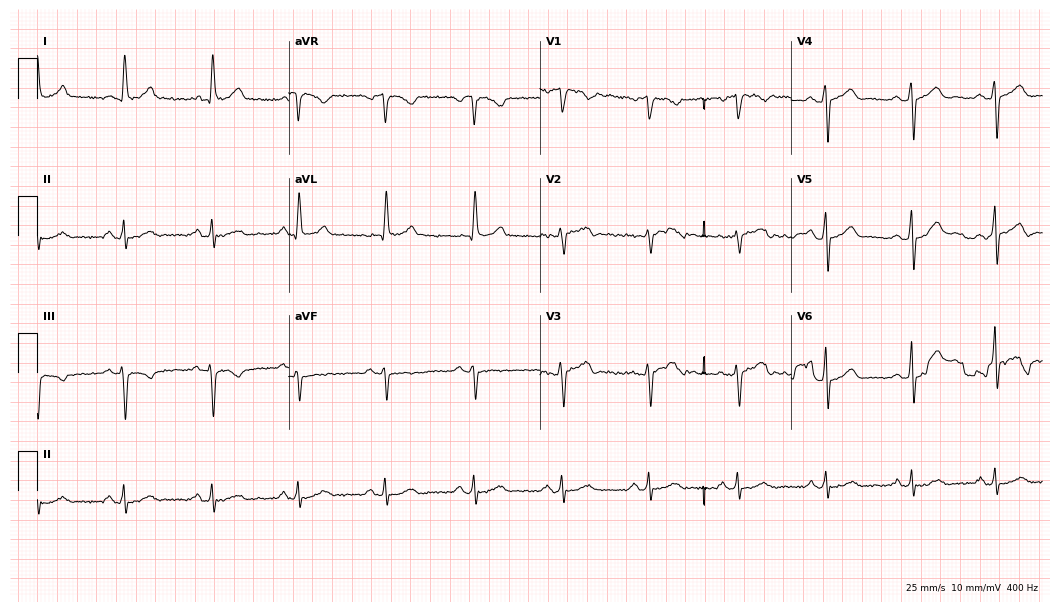
12-lead ECG from a man, 55 years old (10.2-second recording at 400 Hz). Recorded interpretation: within normal limits.